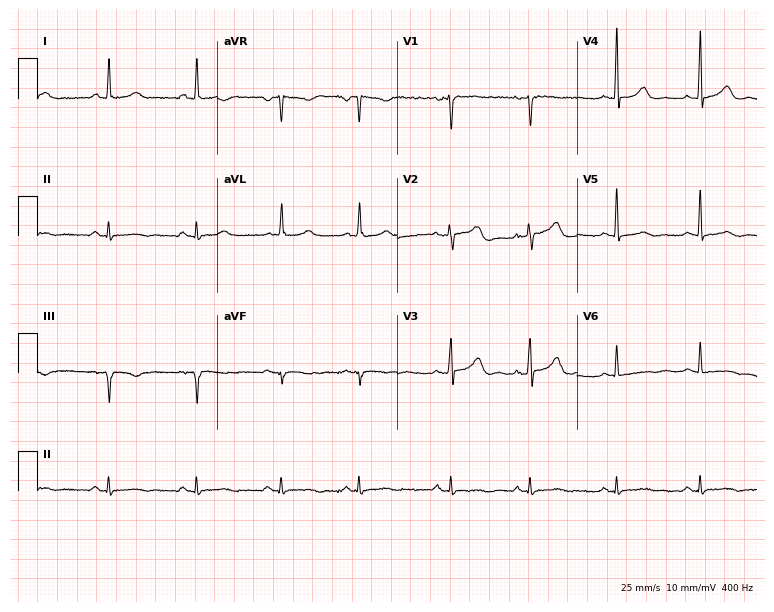
12-lead ECG from a female, 54 years old (7.3-second recording at 400 Hz). Recorded interpretation: within normal limits.